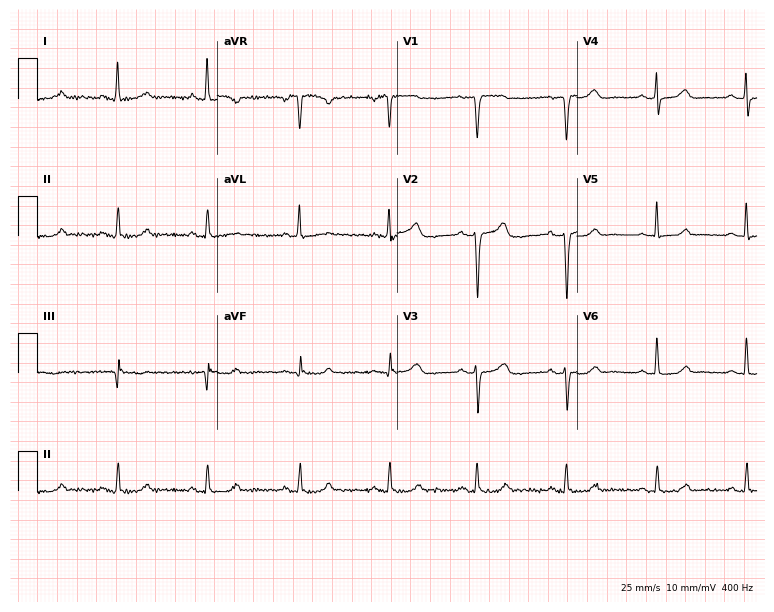
Electrocardiogram (7.3-second recording at 400 Hz), a woman, 60 years old. Overall reading on record: normal ECG.